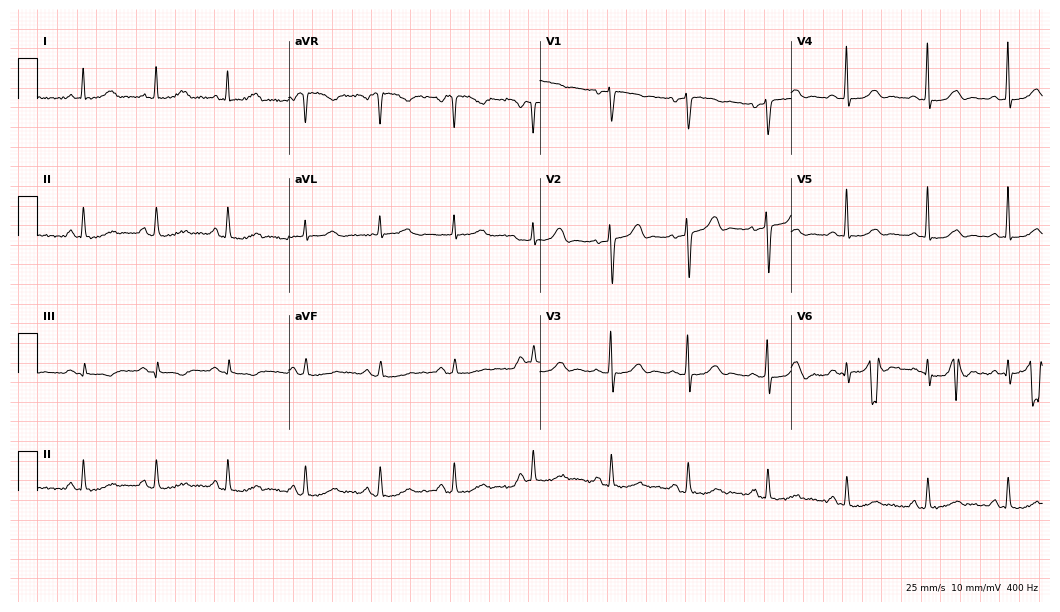
Resting 12-lead electrocardiogram (10.2-second recording at 400 Hz). Patient: a 71-year-old female. None of these six findings is recorded: first-degree AV block, right bundle branch block, left bundle branch block, sinus bradycardia, atrial fibrillation, sinus tachycardia.